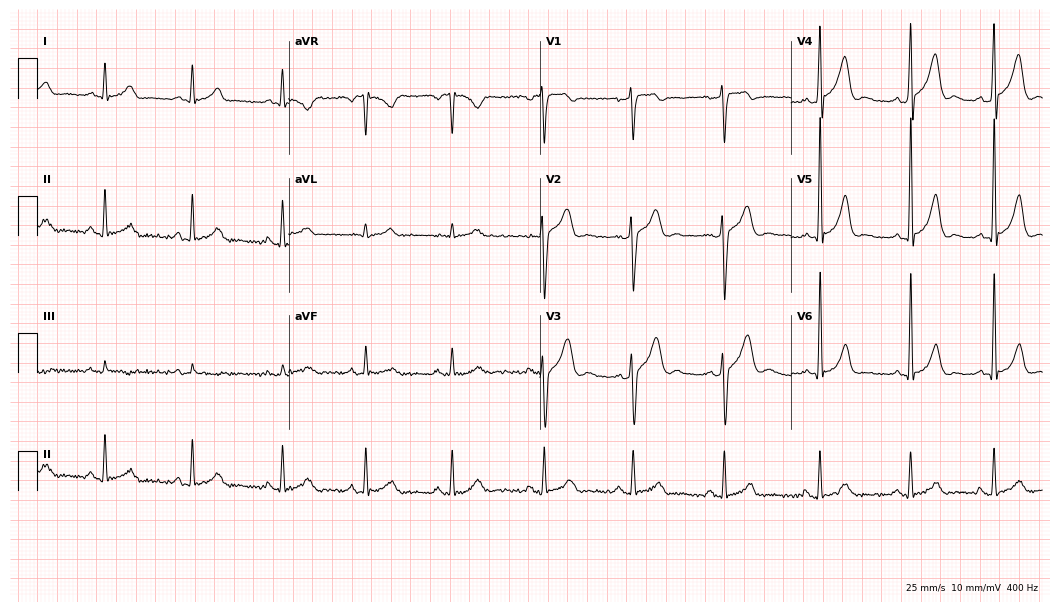
12-lead ECG from a male, 30 years old (10.2-second recording at 400 Hz). Recorded interpretation: within normal limits.